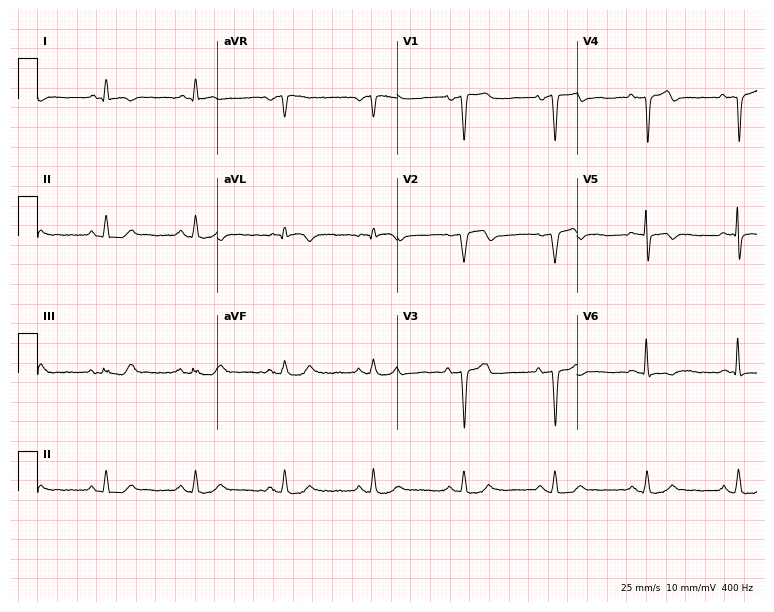
Standard 12-lead ECG recorded from a 55-year-old male. None of these six findings is recorded: first-degree AV block, right bundle branch block, left bundle branch block, sinus bradycardia, atrial fibrillation, sinus tachycardia. Only these six findings were labelled.